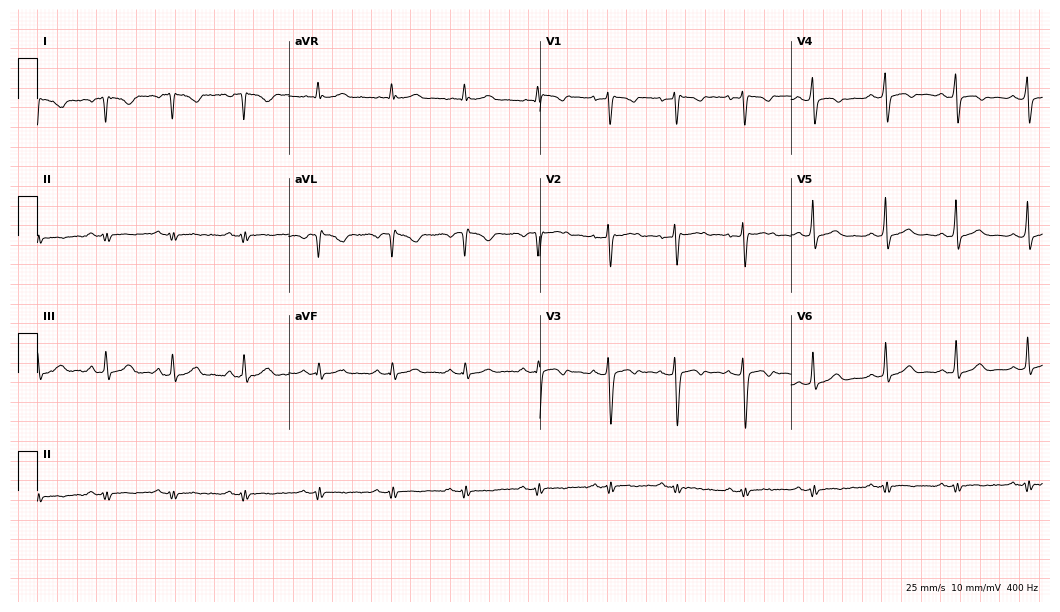
Resting 12-lead electrocardiogram (10.2-second recording at 400 Hz). Patient: a female, 21 years old. None of these six findings is recorded: first-degree AV block, right bundle branch block, left bundle branch block, sinus bradycardia, atrial fibrillation, sinus tachycardia. Other findings, if any, are not listed.